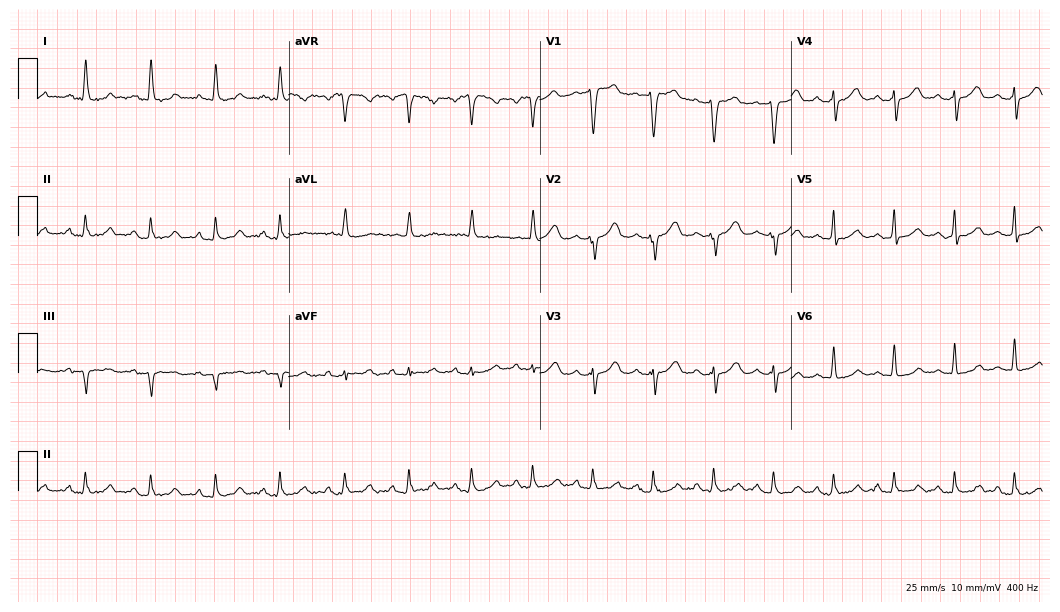
ECG (10.2-second recording at 400 Hz) — a woman, 49 years old. Labelled as a normal ECG.